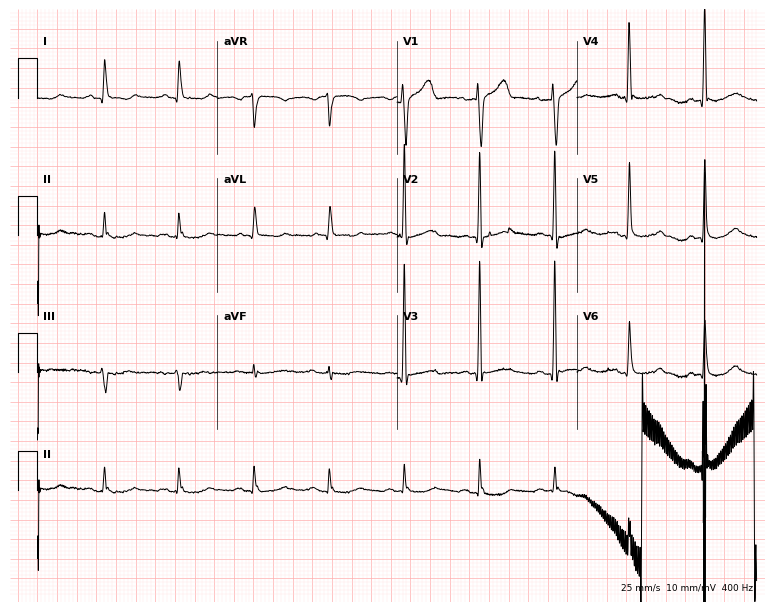
Resting 12-lead electrocardiogram. Patient: a 79-year-old man. None of these six findings is recorded: first-degree AV block, right bundle branch block (RBBB), left bundle branch block (LBBB), sinus bradycardia, atrial fibrillation (AF), sinus tachycardia.